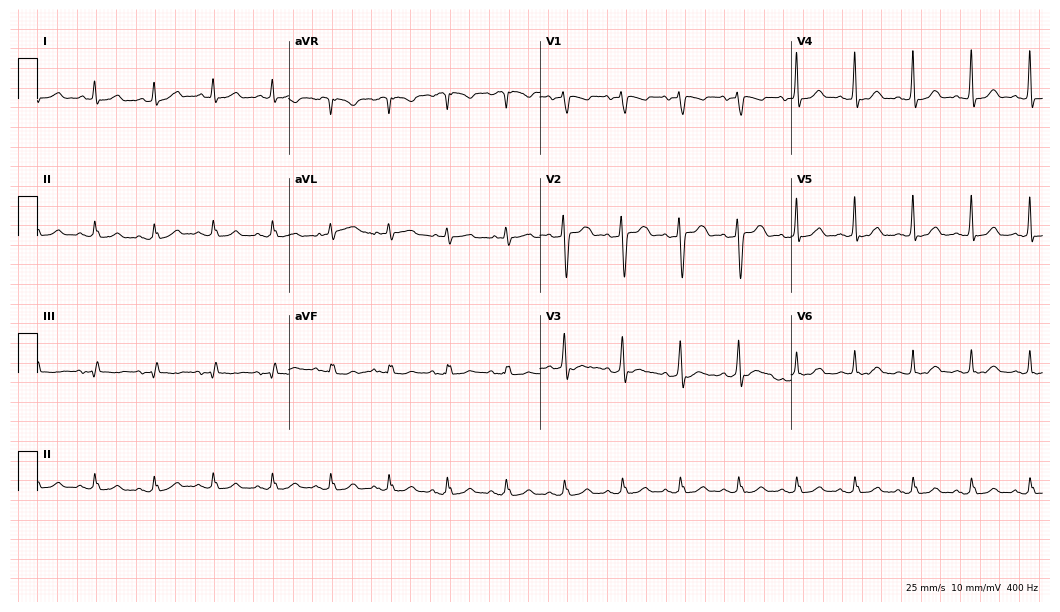
12-lead ECG from an 84-year-old male patient. Recorded interpretation: within normal limits.